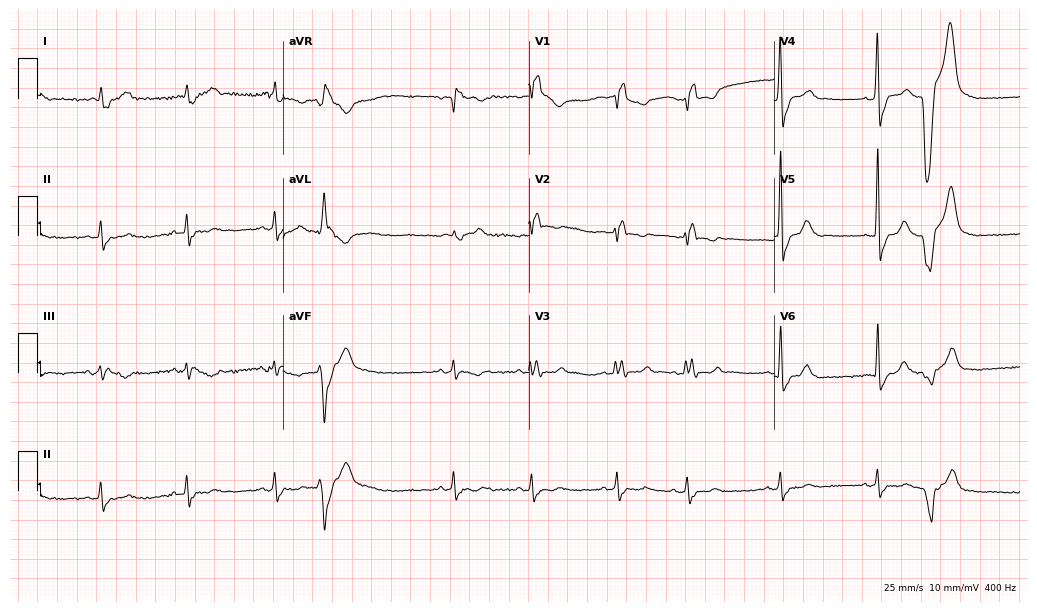
12-lead ECG from a man, 65 years old. Shows right bundle branch block, atrial fibrillation.